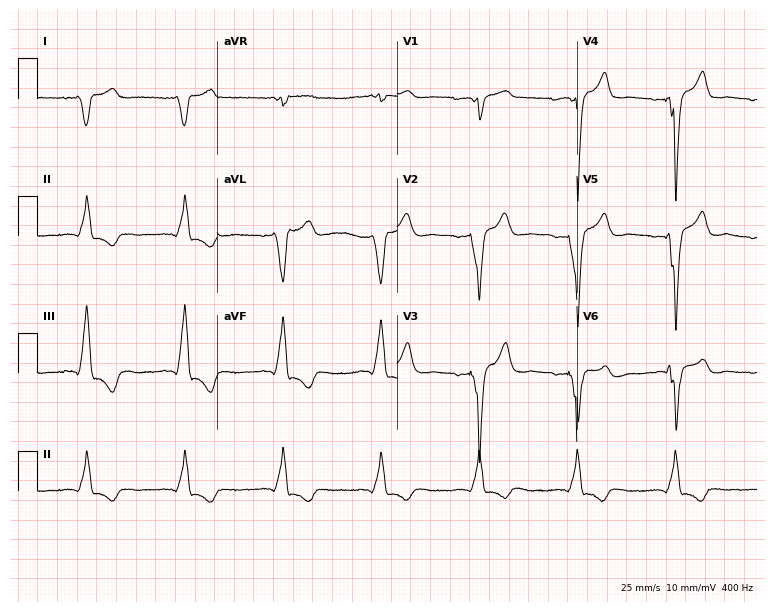
Electrocardiogram, a male, 64 years old. Of the six screened findings (first-degree AV block, right bundle branch block, left bundle branch block, sinus bradycardia, atrial fibrillation, sinus tachycardia), none is recorded.